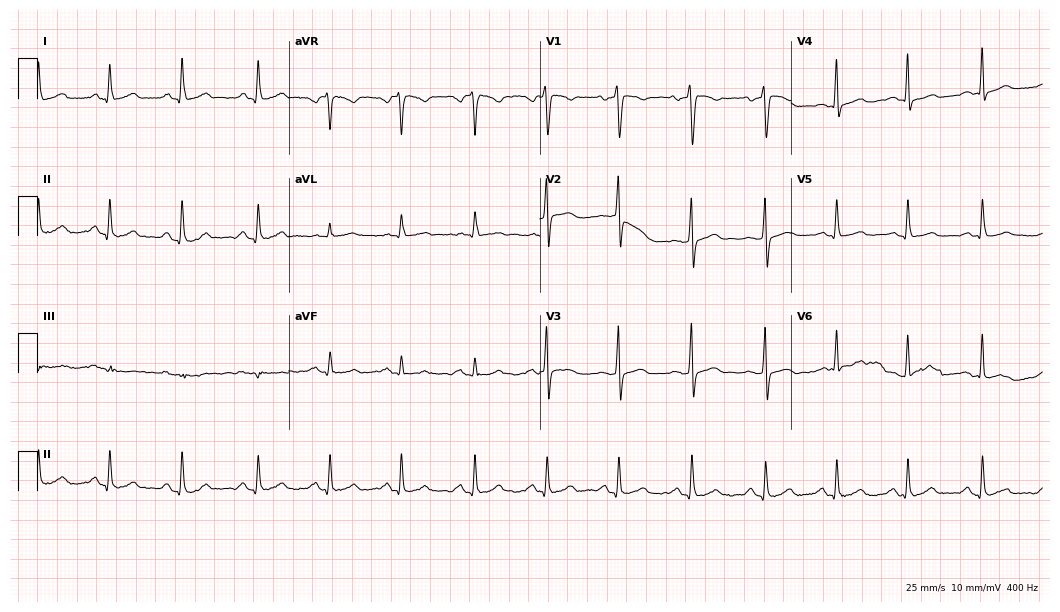
Resting 12-lead electrocardiogram. Patient: a woman, 50 years old. Read as a normal ECG.